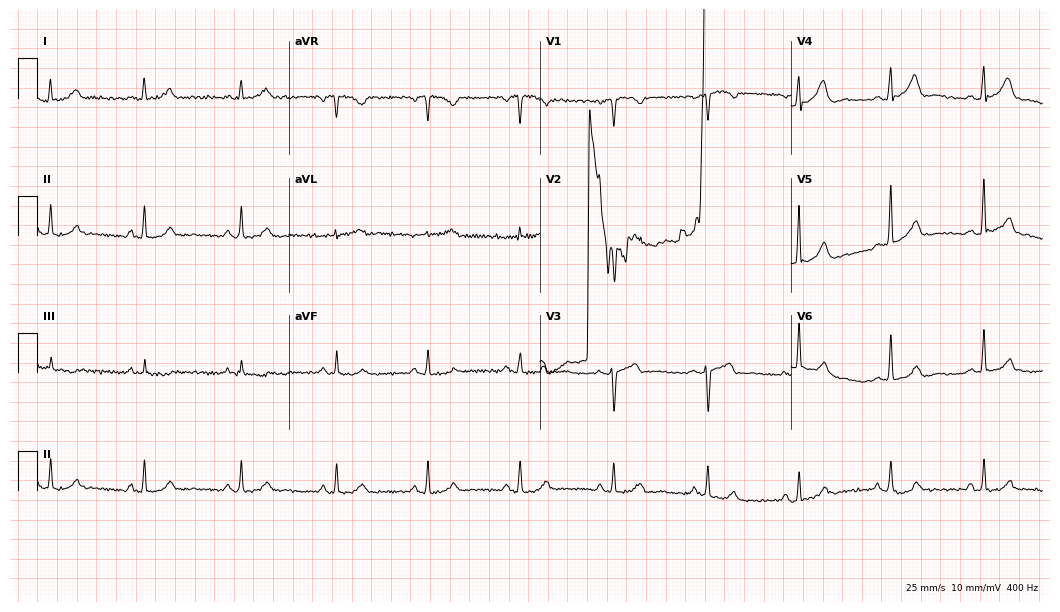
12-lead ECG (10.2-second recording at 400 Hz) from a 46-year-old female patient. Screened for six findings — first-degree AV block, right bundle branch block, left bundle branch block, sinus bradycardia, atrial fibrillation, sinus tachycardia — none is recorded. Only these six findings were labelled.